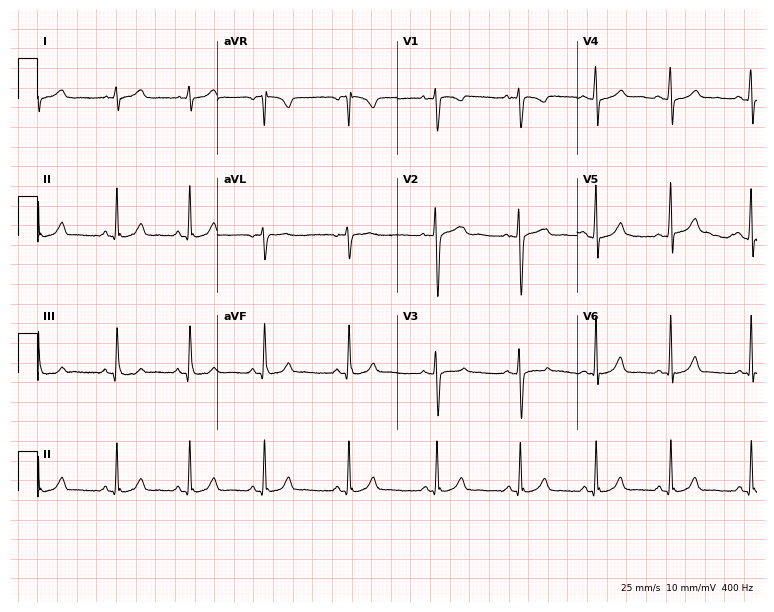
Electrocardiogram (7.3-second recording at 400 Hz), a 22-year-old woman. Overall reading on record: normal ECG.